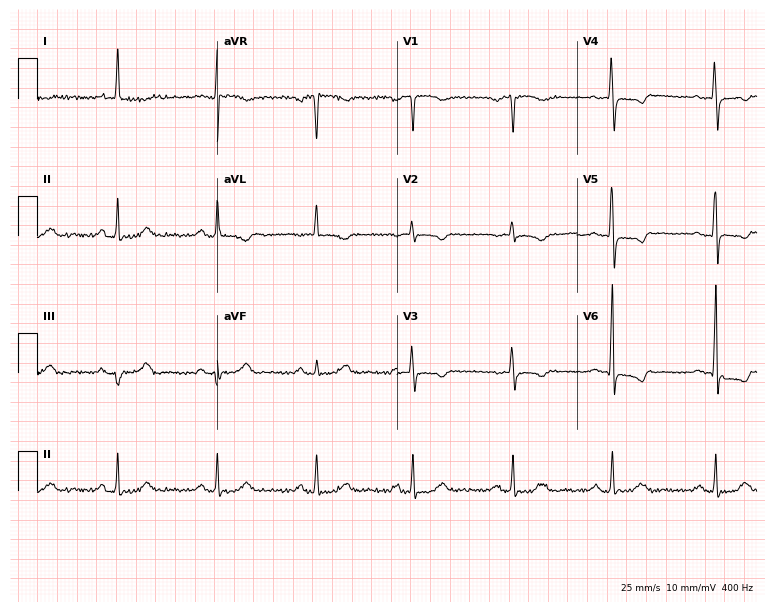
12-lead ECG from a 72-year-old female patient. Screened for six findings — first-degree AV block, right bundle branch block, left bundle branch block, sinus bradycardia, atrial fibrillation, sinus tachycardia — none is recorded.